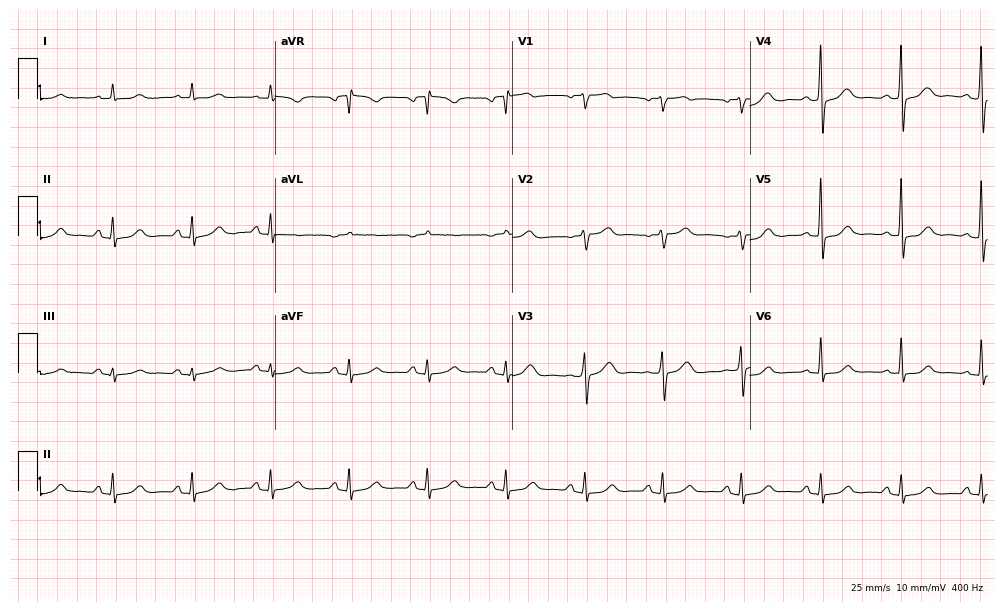
Resting 12-lead electrocardiogram. Patient: a 76-year-old female. Read as a normal ECG.